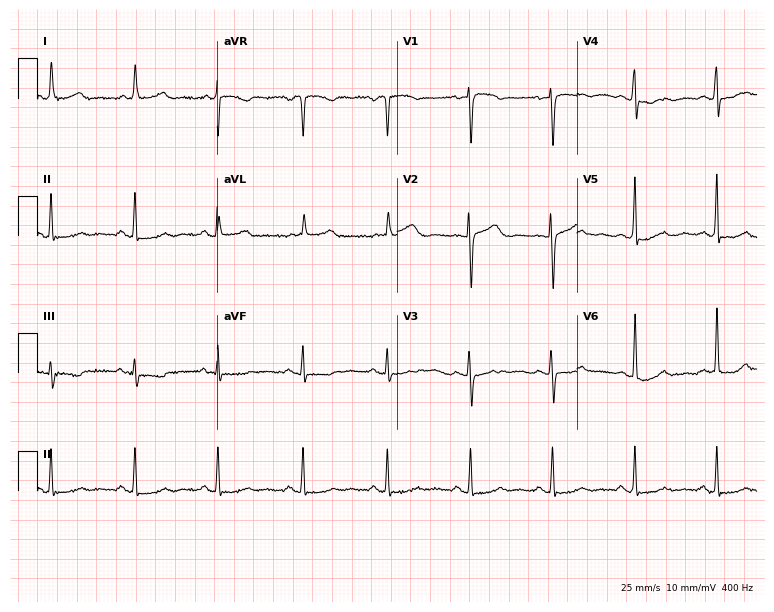
Resting 12-lead electrocardiogram (7.3-second recording at 400 Hz). Patient: a 65-year-old female. None of these six findings is recorded: first-degree AV block, right bundle branch block, left bundle branch block, sinus bradycardia, atrial fibrillation, sinus tachycardia. Other findings, if any, are not listed.